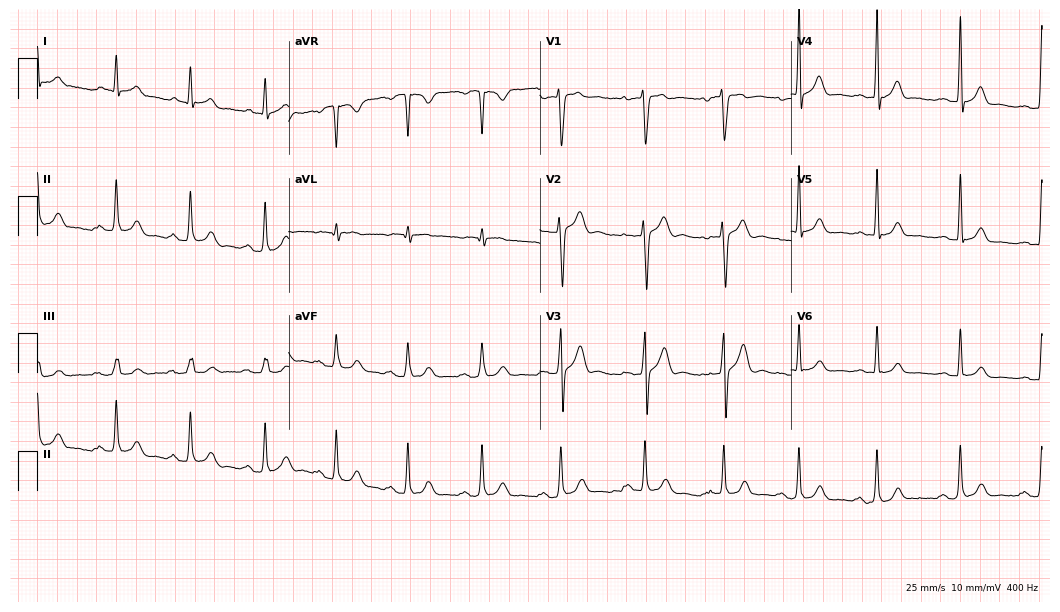
12-lead ECG from a 34-year-old woman (10.2-second recording at 400 Hz). Shows first-degree AV block.